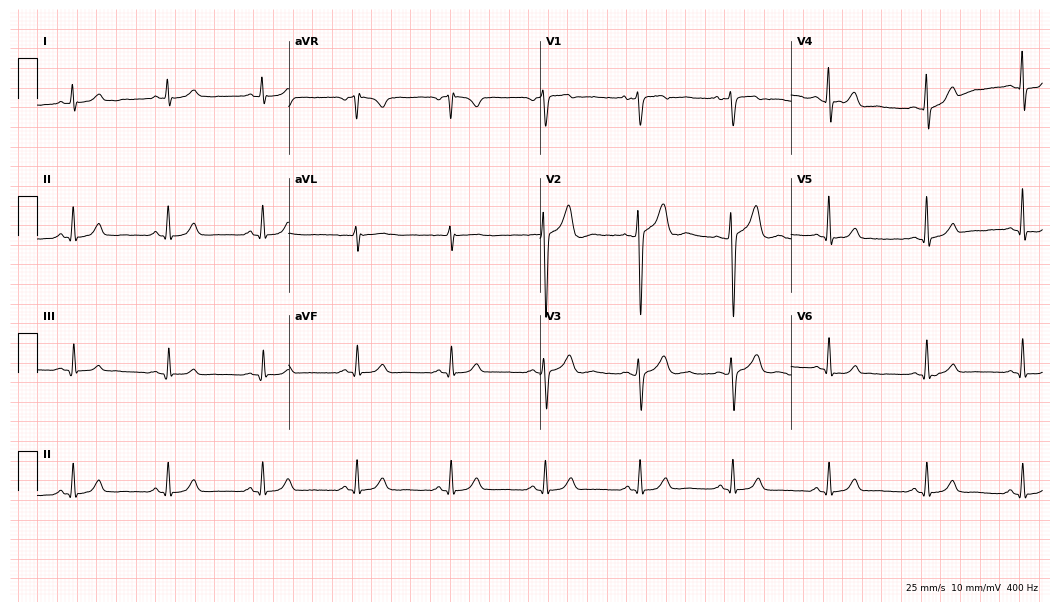
12-lead ECG from a man, 32 years old. Recorded interpretation: within normal limits.